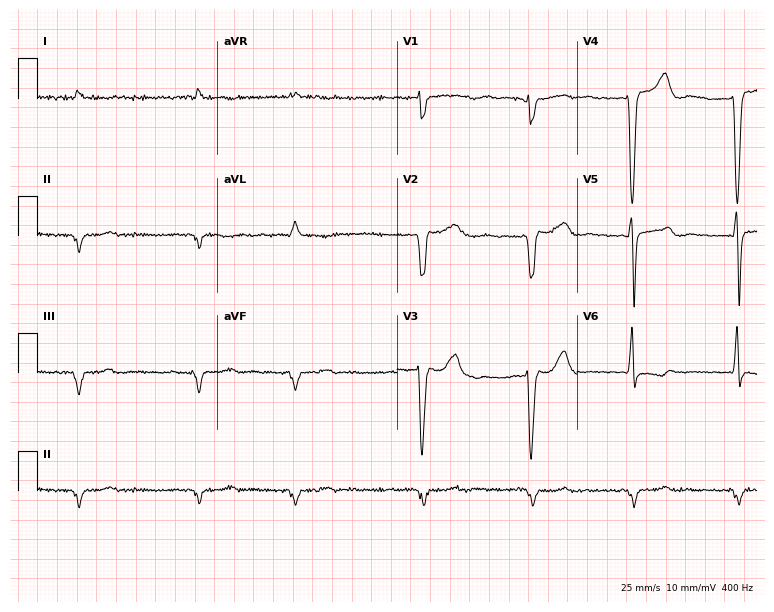
Standard 12-lead ECG recorded from a male, 78 years old (7.3-second recording at 400 Hz). The tracing shows atrial fibrillation.